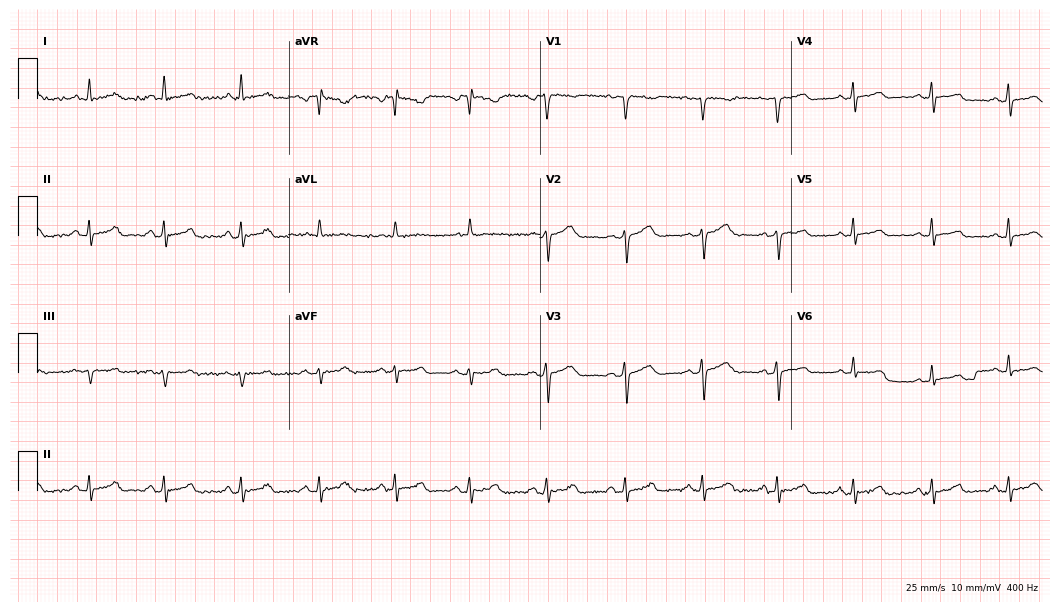
Electrocardiogram, a female patient, 45 years old. Overall reading on record: normal ECG.